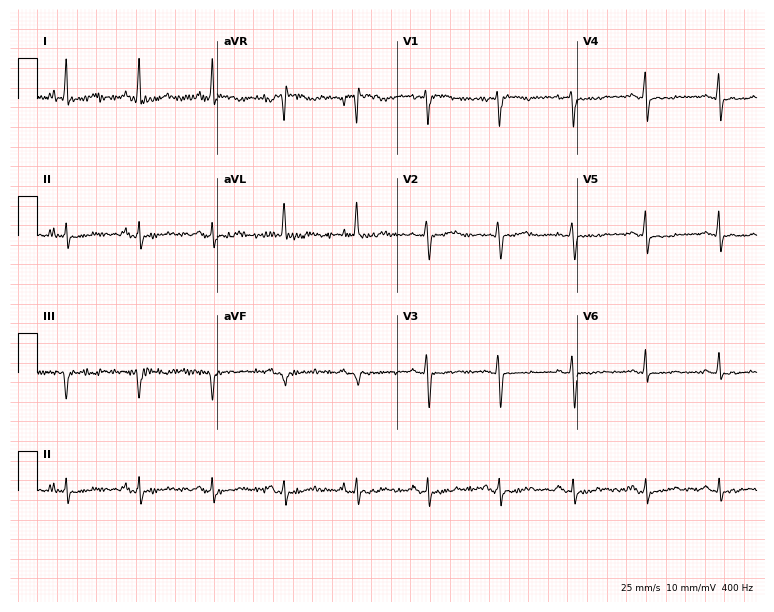
Resting 12-lead electrocardiogram. Patient: a woman, 59 years old. None of these six findings is recorded: first-degree AV block, right bundle branch block, left bundle branch block, sinus bradycardia, atrial fibrillation, sinus tachycardia. Findings outside these six are not listed.